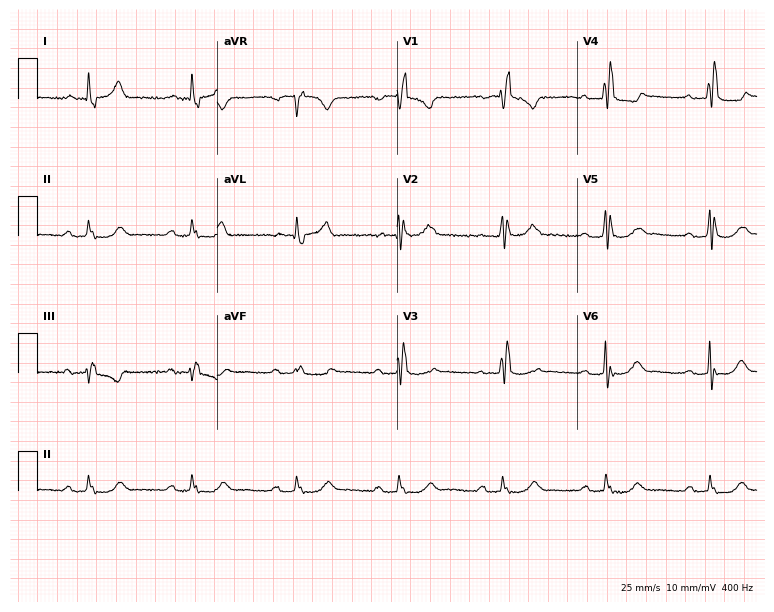
Electrocardiogram (7.3-second recording at 400 Hz), a female patient, 80 years old. Interpretation includes right bundle branch block (RBBB).